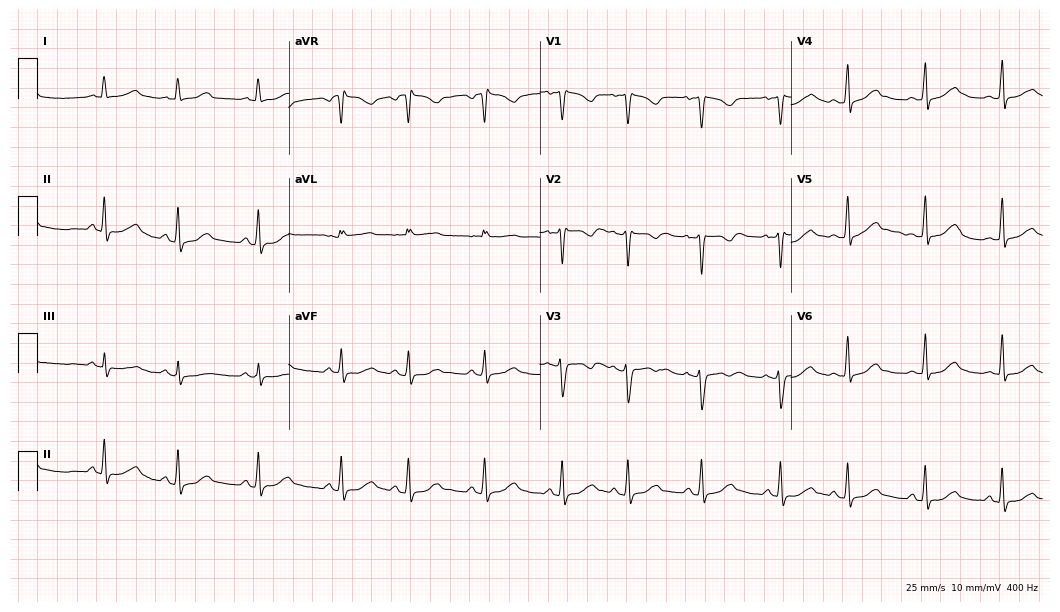
12-lead ECG (10.2-second recording at 400 Hz) from a female, 18 years old. Labelled as a normal ECG.